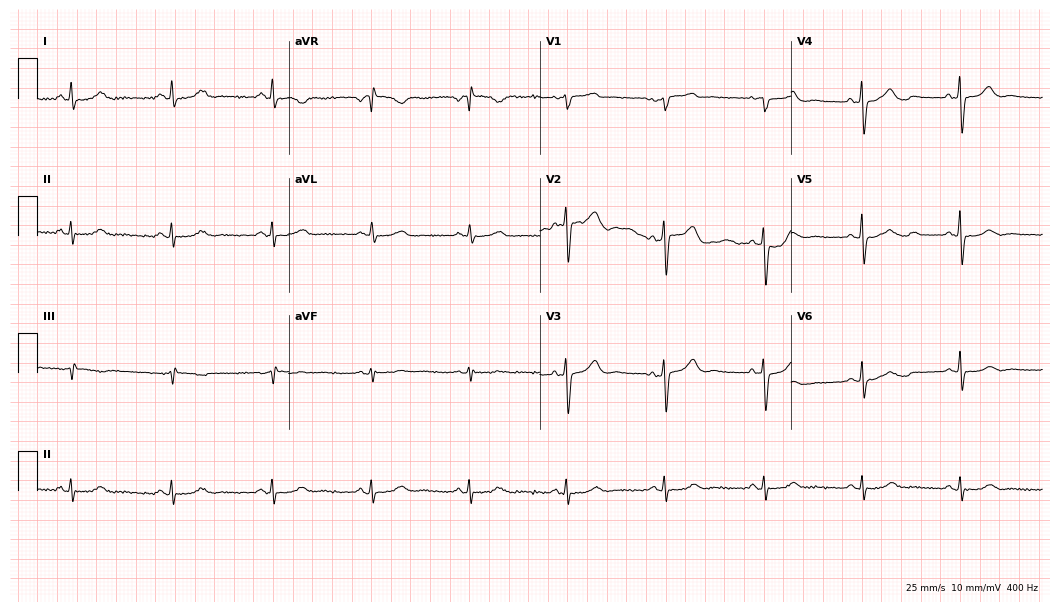
Electrocardiogram, a 56-year-old female. Overall reading on record: normal ECG.